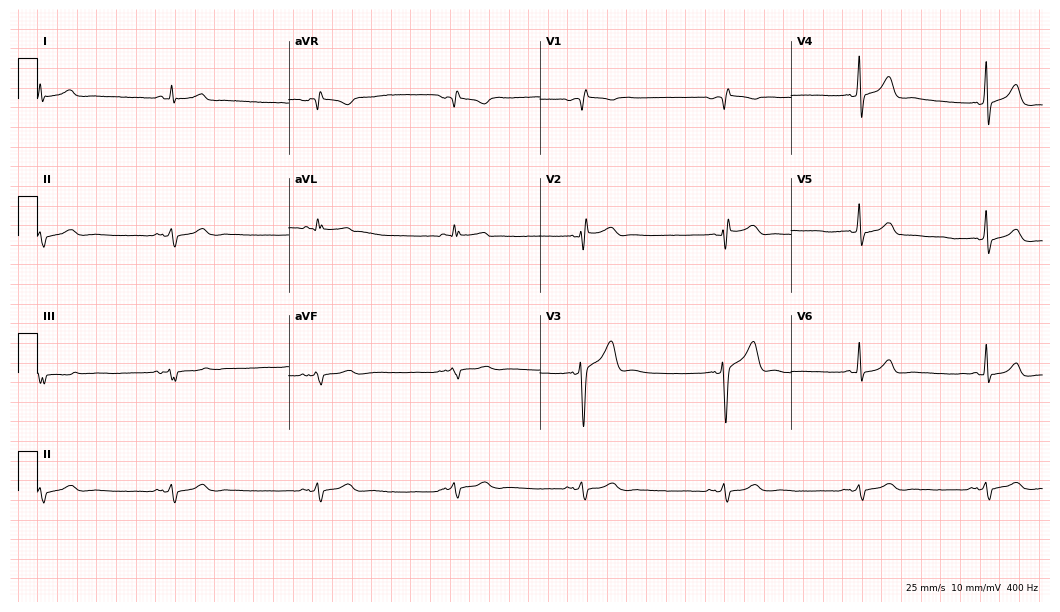
ECG (10.2-second recording at 400 Hz) — a male patient, 39 years old. Findings include sinus bradycardia (a sinus rate of 50 beats per minute or less).